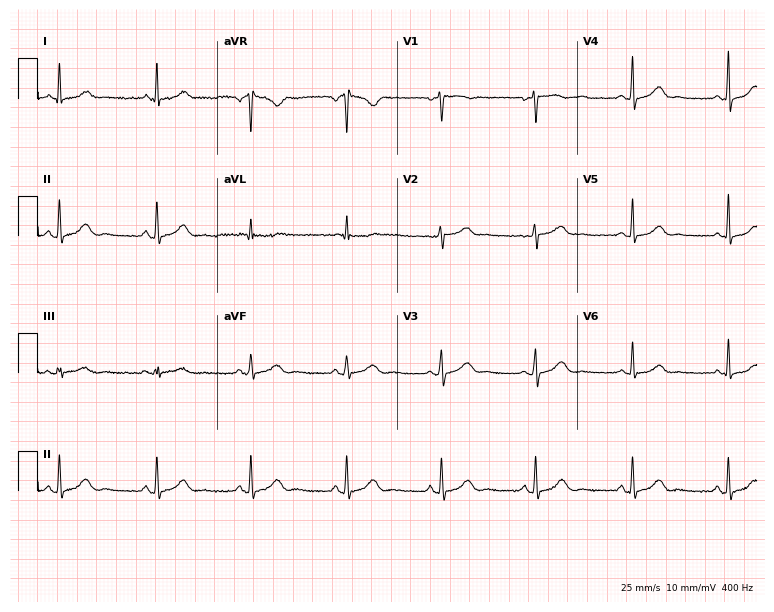
Resting 12-lead electrocardiogram. Patient: a 54-year-old female. Read as a normal ECG.